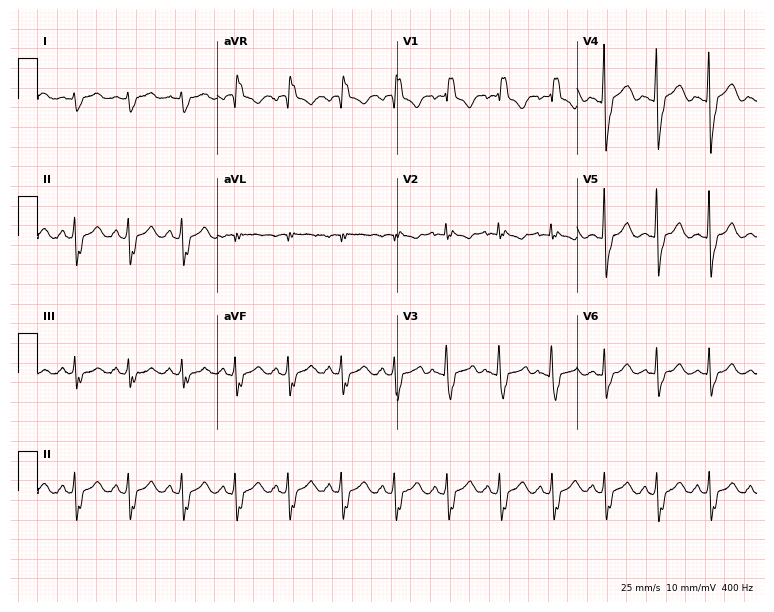
Resting 12-lead electrocardiogram. Patient: a 31-year-old female. The tracing shows right bundle branch block, sinus tachycardia (a sinus rate of 100 beats per minute or more).